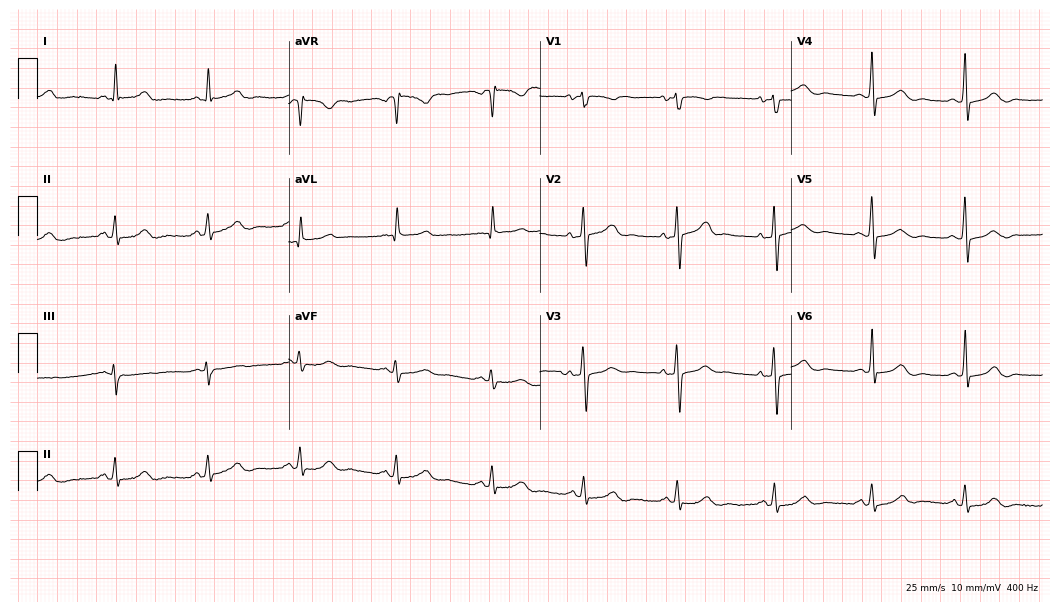
Electrocardiogram (10.2-second recording at 400 Hz), a female patient, 57 years old. Overall reading on record: normal ECG.